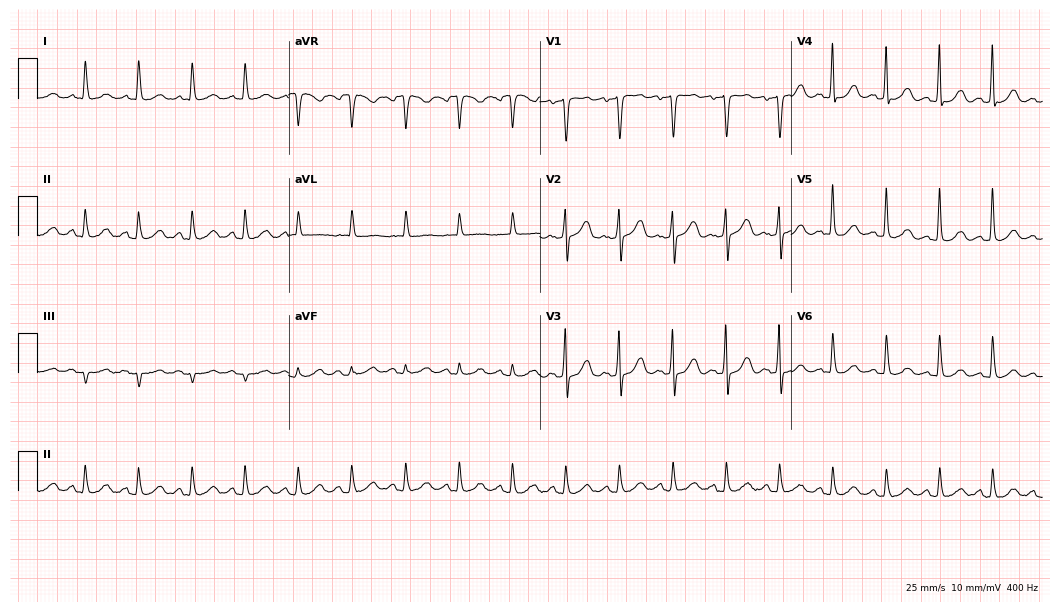
Standard 12-lead ECG recorded from a 65-year-old woman. The tracing shows sinus tachycardia (a sinus rate of 100 beats per minute or more).